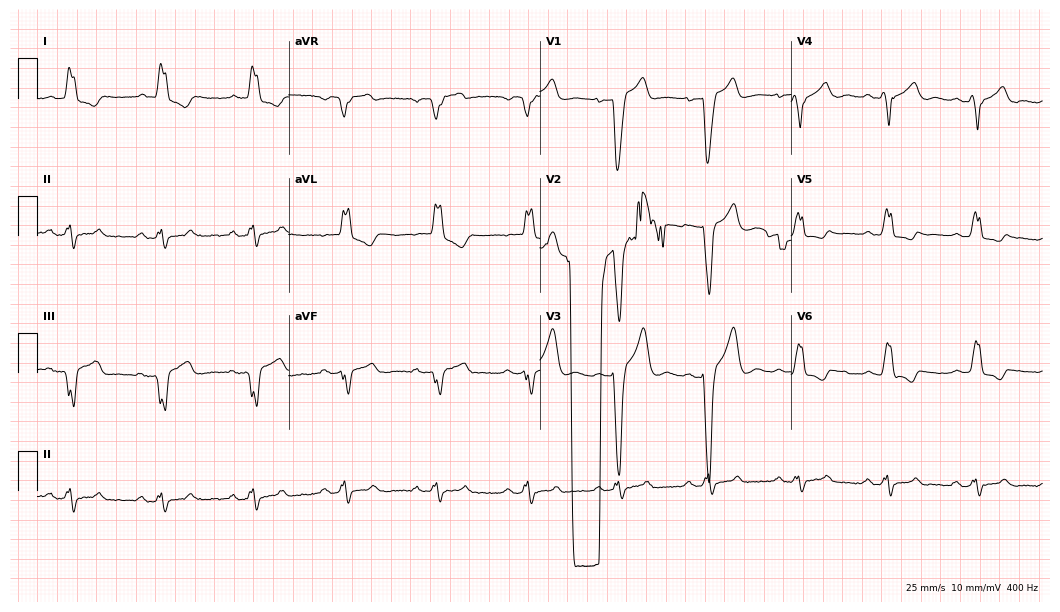
12-lead ECG (10.2-second recording at 400 Hz) from a 59-year-old woman. Findings include left bundle branch block.